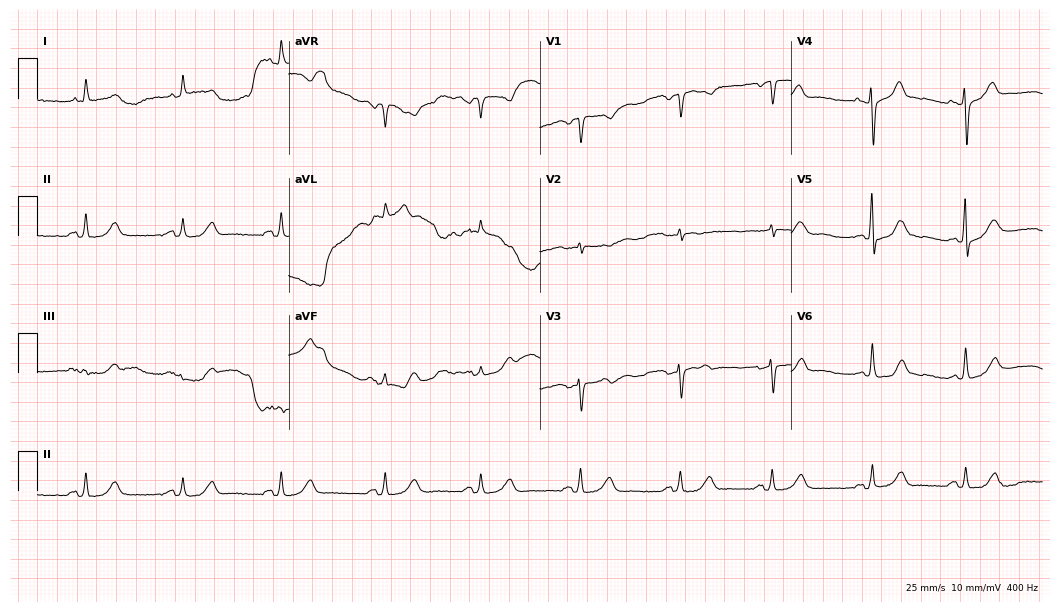
ECG — a 74-year-old male patient. Labelled as a normal ECG.